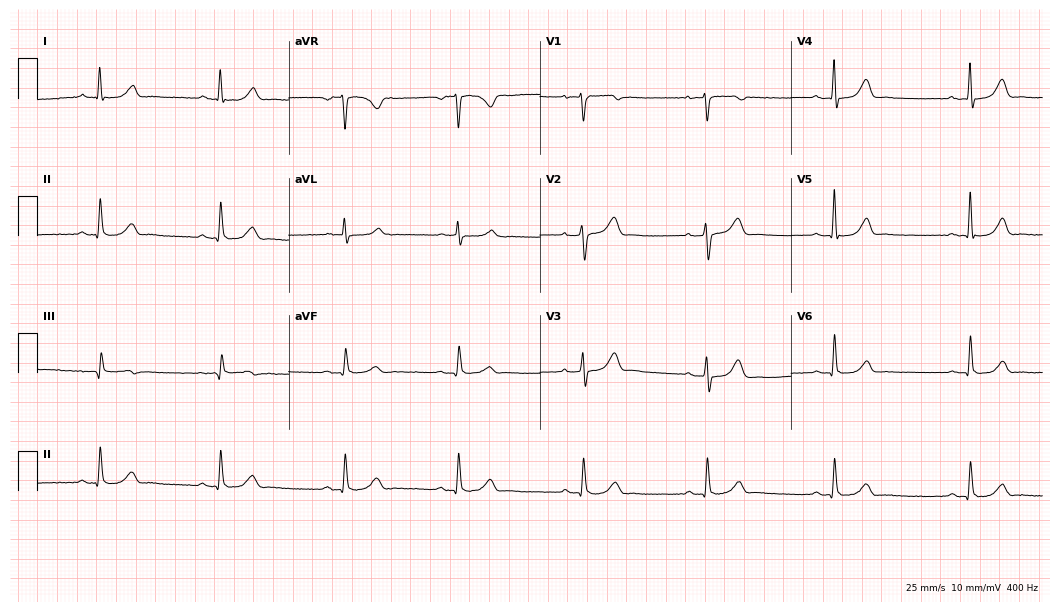
Standard 12-lead ECG recorded from a male patient, 45 years old. The tracing shows sinus bradycardia (a sinus rate of 50 beats per minute or less).